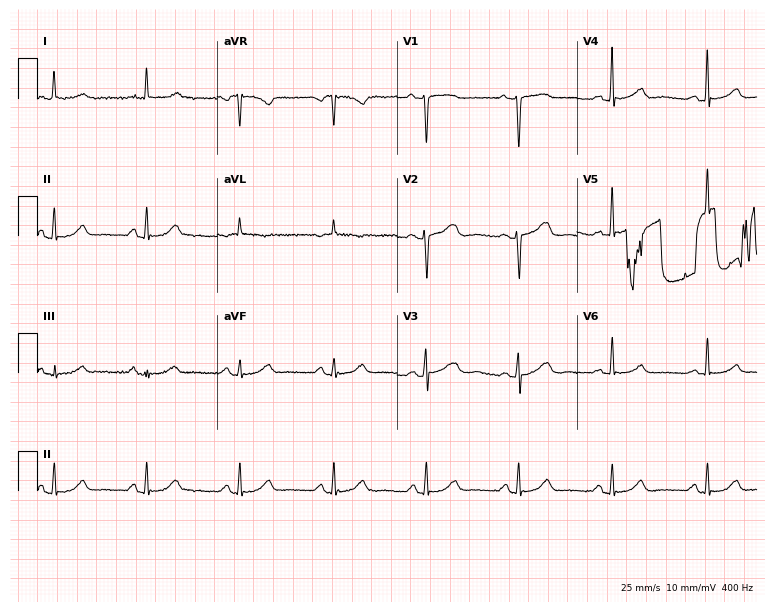
Resting 12-lead electrocardiogram (7.3-second recording at 400 Hz). Patient: a female, 74 years old. None of these six findings is recorded: first-degree AV block, right bundle branch block (RBBB), left bundle branch block (LBBB), sinus bradycardia, atrial fibrillation (AF), sinus tachycardia. Only these six findings were labelled.